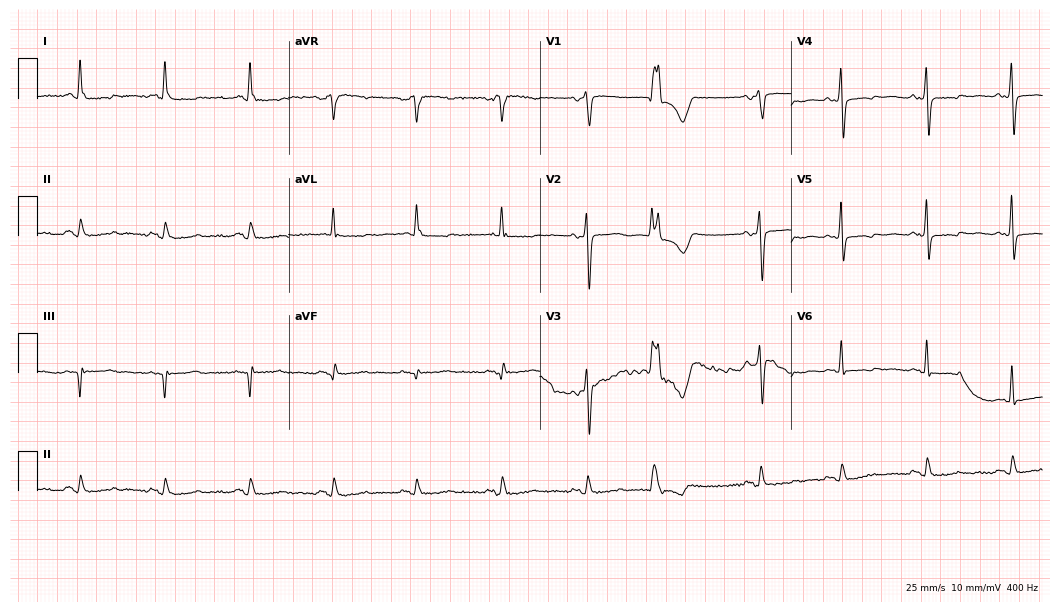
12-lead ECG from a 79-year-old female. No first-degree AV block, right bundle branch block, left bundle branch block, sinus bradycardia, atrial fibrillation or sinus tachycardia recorded for this tracing.